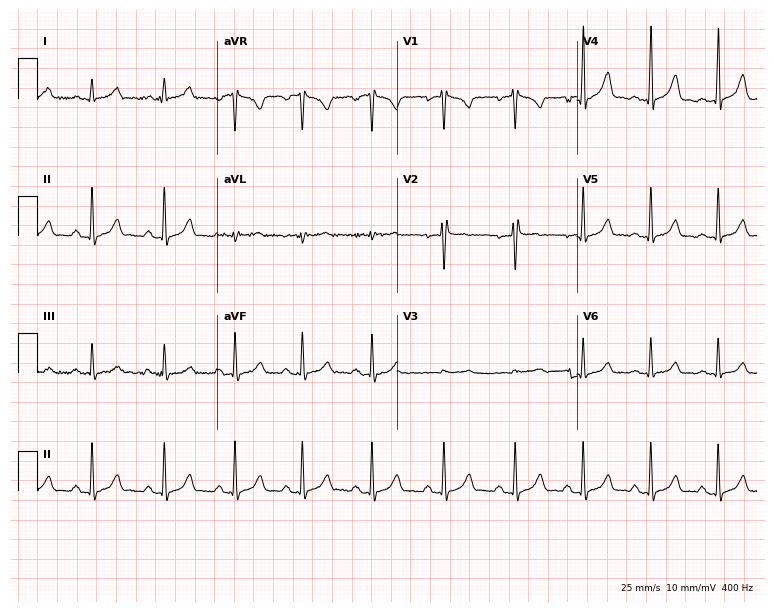
ECG (7.3-second recording at 400 Hz) — a 25-year-old female patient. Labelled as a normal ECG.